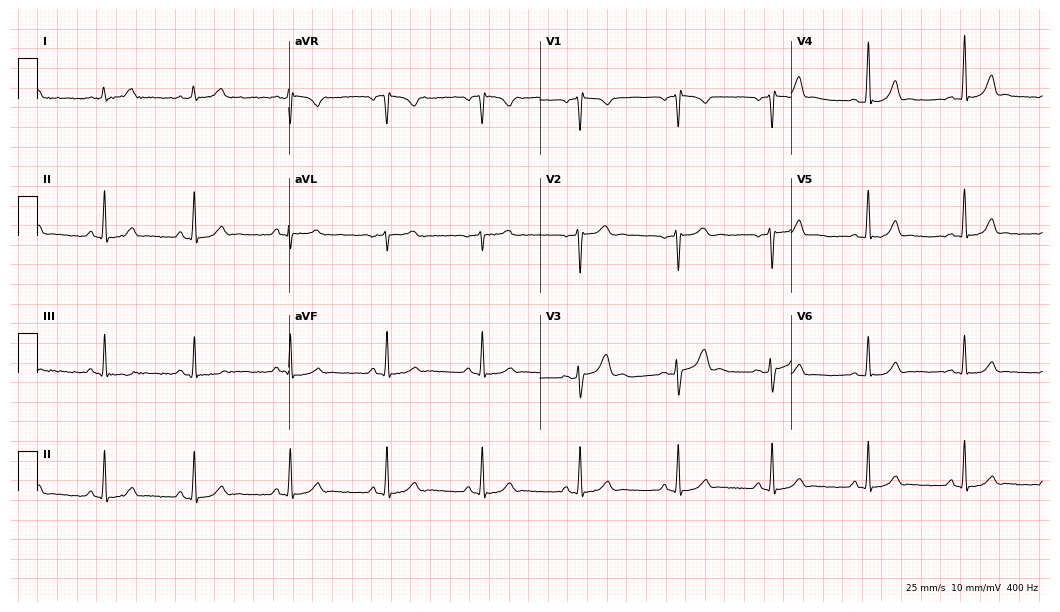
12-lead ECG from a 25-year-old female patient. Recorded interpretation: within normal limits.